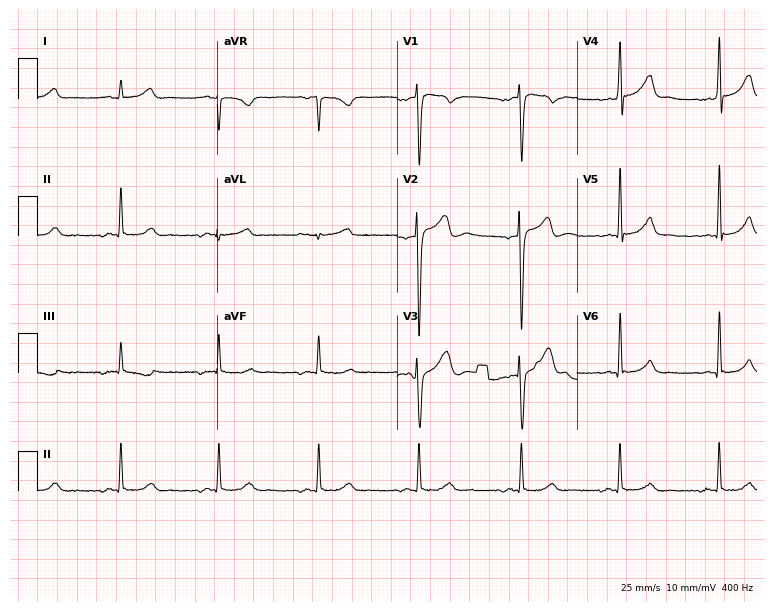
12-lead ECG from a 36-year-old man. Recorded interpretation: within normal limits.